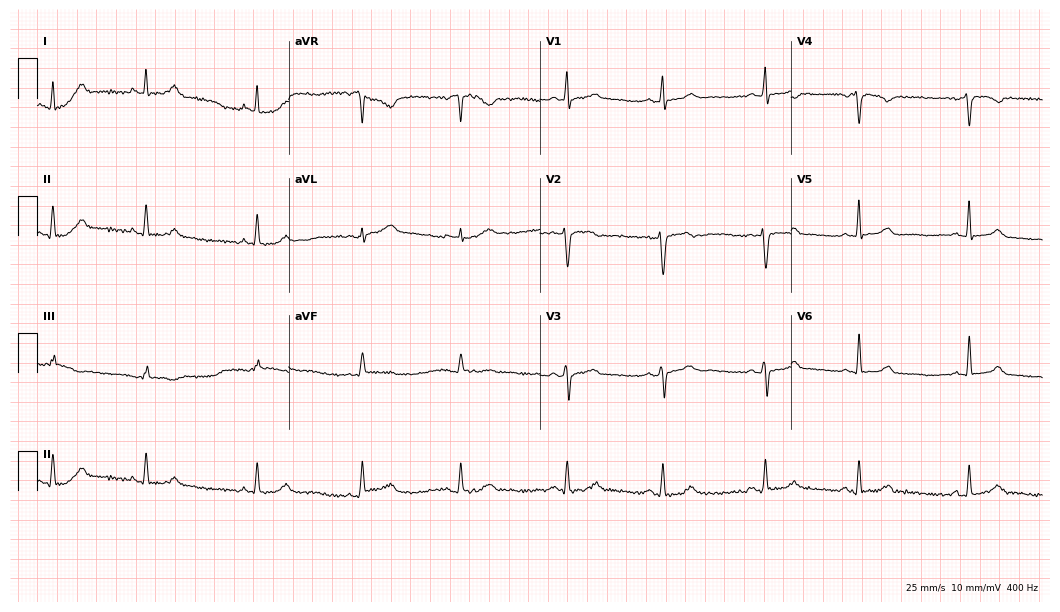
Standard 12-lead ECG recorded from a female patient, 24 years old (10.2-second recording at 400 Hz). Read as a normal ECG.